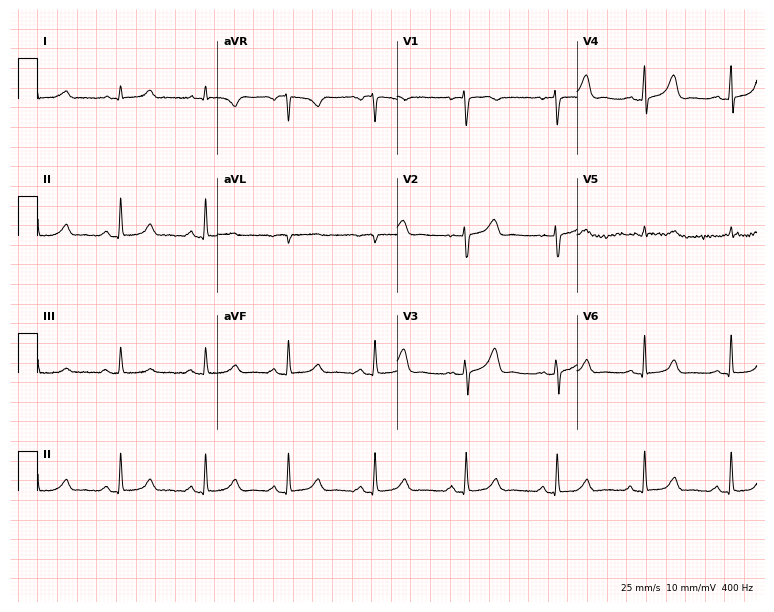
Electrocardiogram, a female, 39 years old. Overall reading on record: normal ECG.